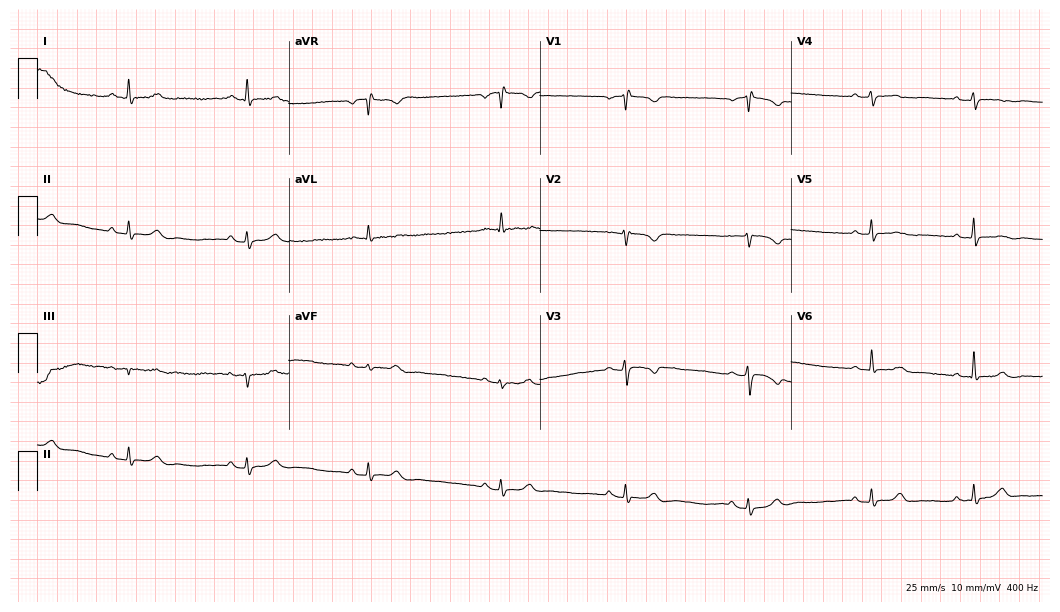
ECG — a female patient, 43 years old. Screened for six findings — first-degree AV block, right bundle branch block (RBBB), left bundle branch block (LBBB), sinus bradycardia, atrial fibrillation (AF), sinus tachycardia — none is recorded.